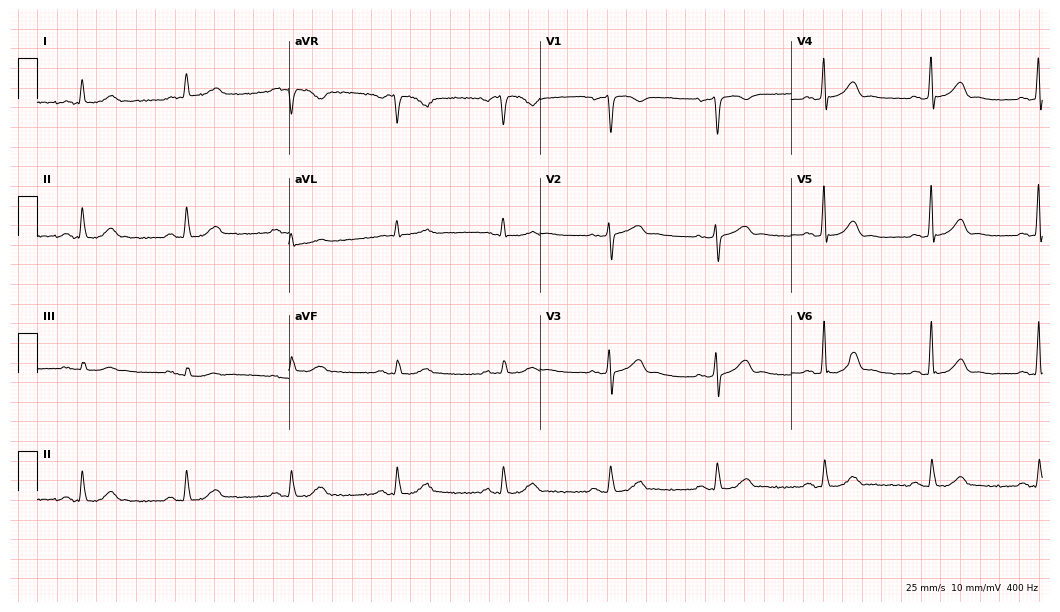
Electrocardiogram, a male patient, 80 years old. Overall reading on record: normal ECG.